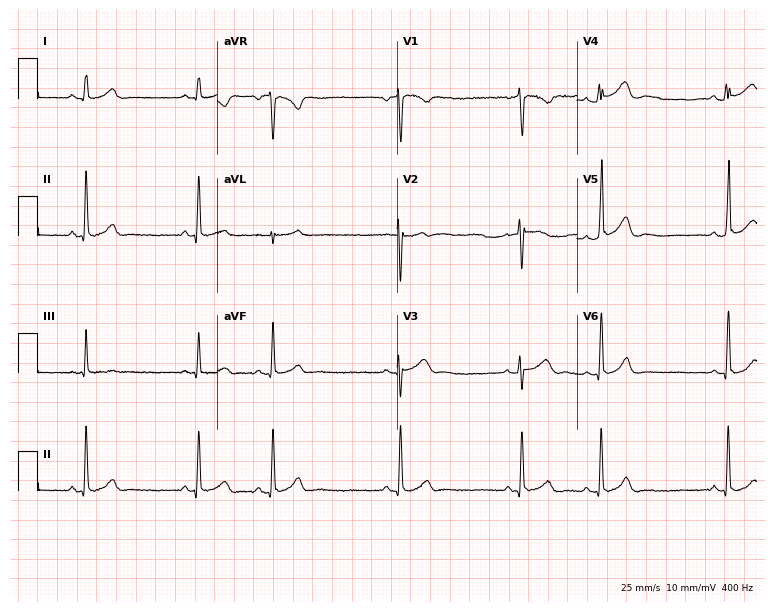
Standard 12-lead ECG recorded from a 17-year-old female. None of these six findings is recorded: first-degree AV block, right bundle branch block, left bundle branch block, sinus bradycardia, atrial fibrillation, sinus tachycardia.